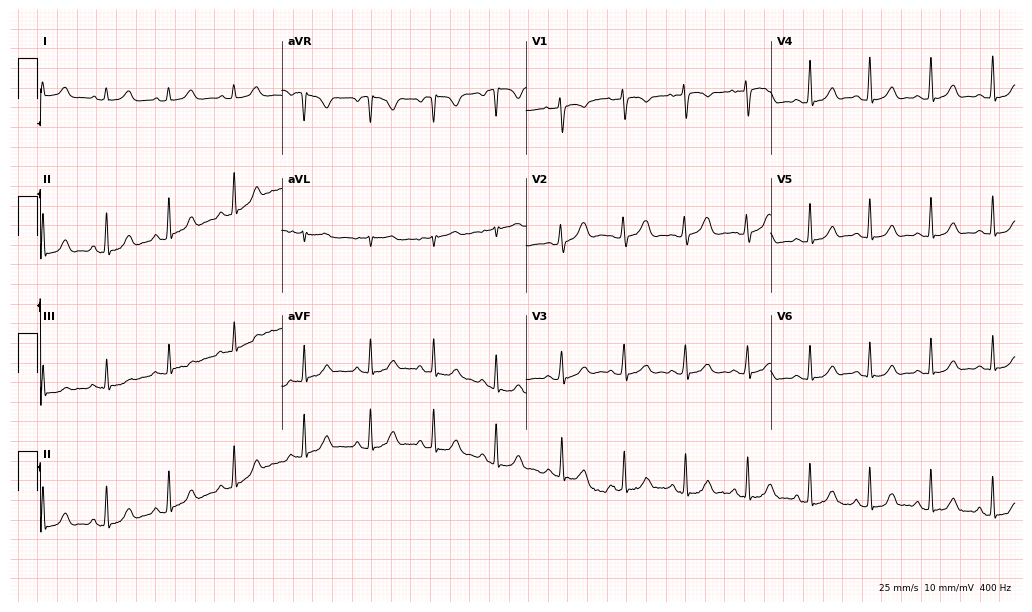
Standard 12-lead ECG recorded from a female, 19 years old. None of these six findings is recorded: first-degree AV block, right bundle branch block (RBBB), left bundle branch block (LBBB), sinus bradycardia, atrial fibrillation (AF), sinus tachycardia. Other findings, if any, are not listed.